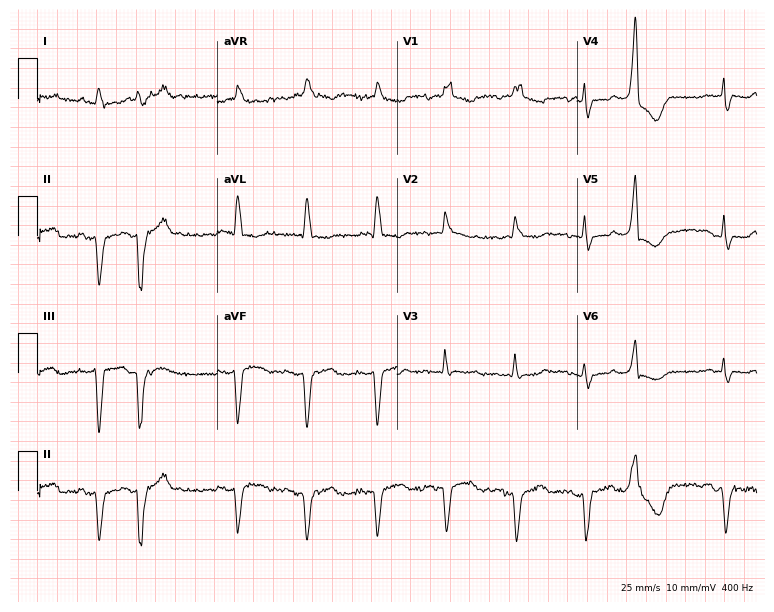
Resting 12-lead electrocardiogram (7.3-second recording at 400 Hz). Patient: an 80-year-old male. None of these six findings is recorded: first-degree AV block, right bundle branch block, left bundle branch block, sinus bradycardia, atrial fibrillation, sinus tachycardia.